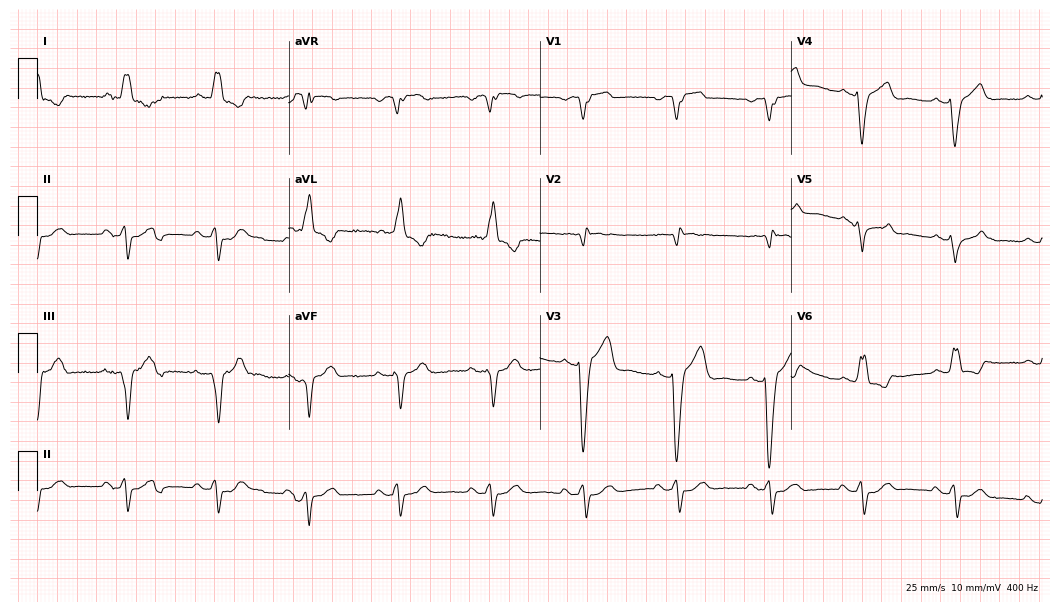
12-lead ECG from a male patient, 80 years old (10.2-second recording at 400 Hz). No first-degree AV block, right bundle branch block (RBBB), left bundle branch block (LBBB), sinus bradycardia, atrial fibrillation (AF) or sinus tachycardia recorded for this tracing.